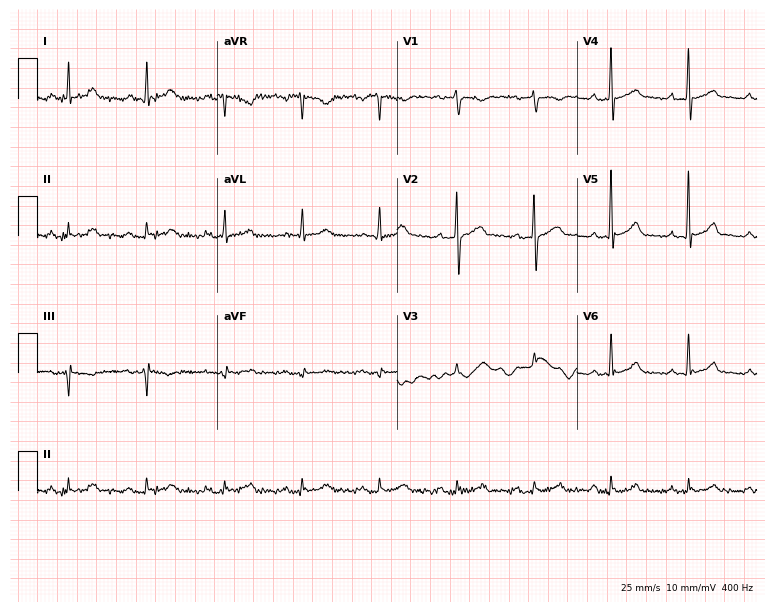
Resting 12-lead electrocardiogram. Patient: a male, 57 years old. Read as a normal ECG.